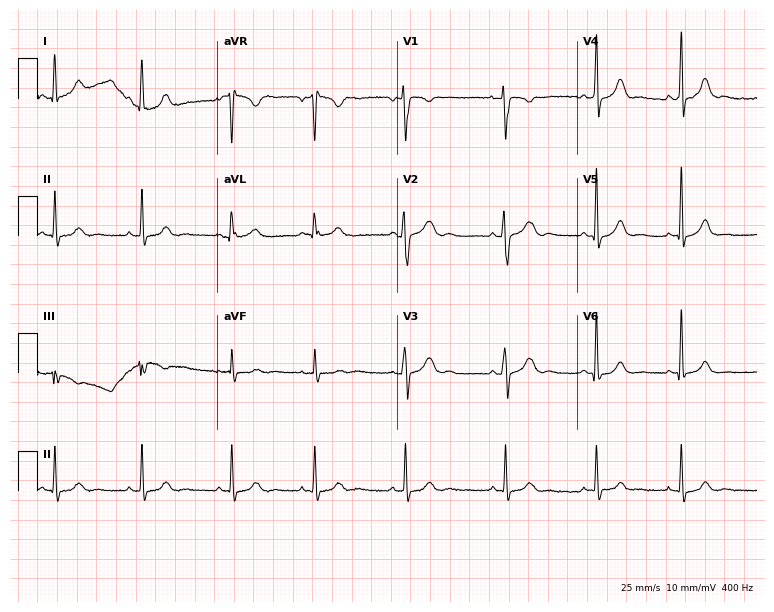
12-lead ECG from a female, 23 years old. No first-degree AV block, right bundle branch block, left bundle branch block, sinus bradycardia, atrial fibrillation or sinus tachycardia recorded for this tracing. Other findings, if any, are not listed.